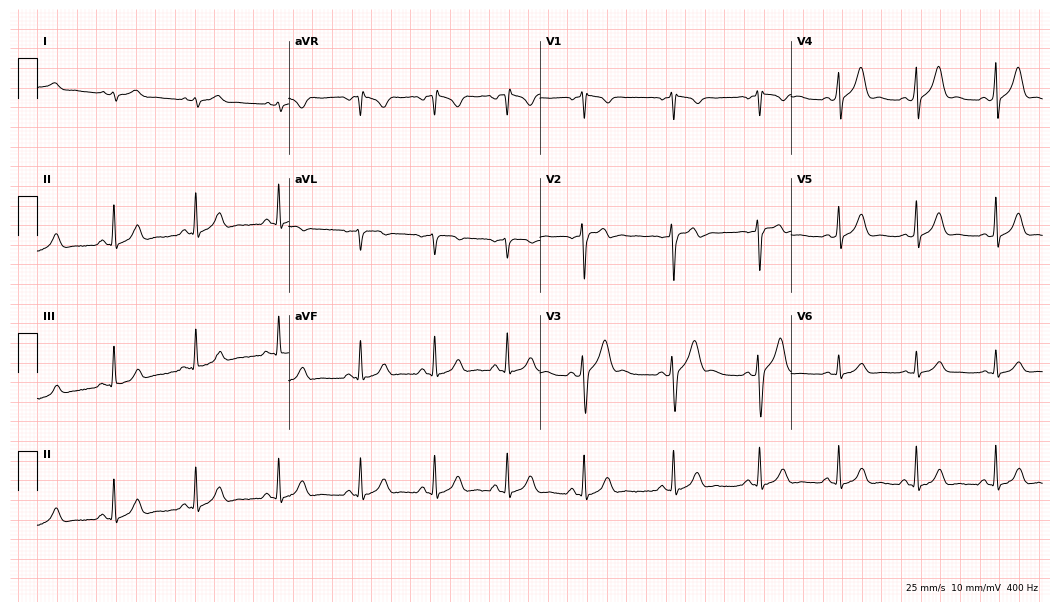
12-lead ECG from a 36-year-old male. Recorded interpretation: within normal limits.